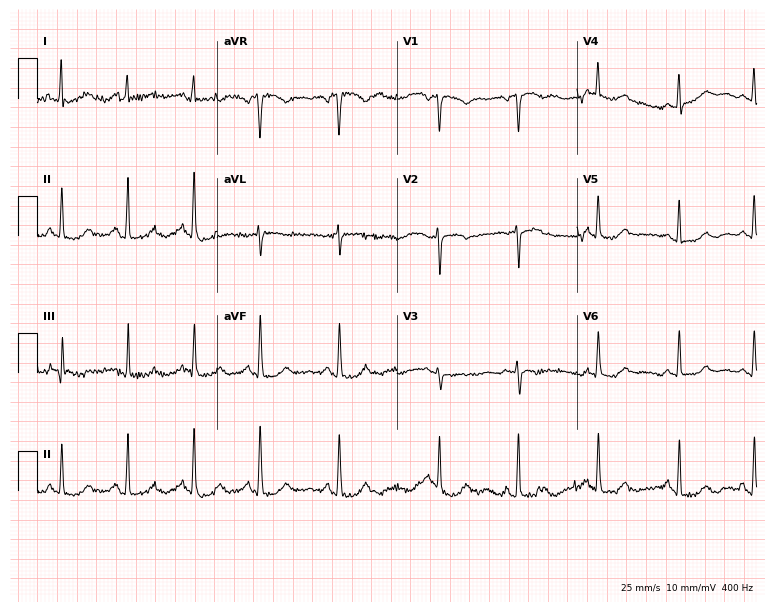
ECG — a 39-year-old female. Screened for six findings — first-degree AV block, right bundle branch block, left bundle branch block, sinus bradycardia, atrial fibrillation, sinus tachycardia — none is recorded.